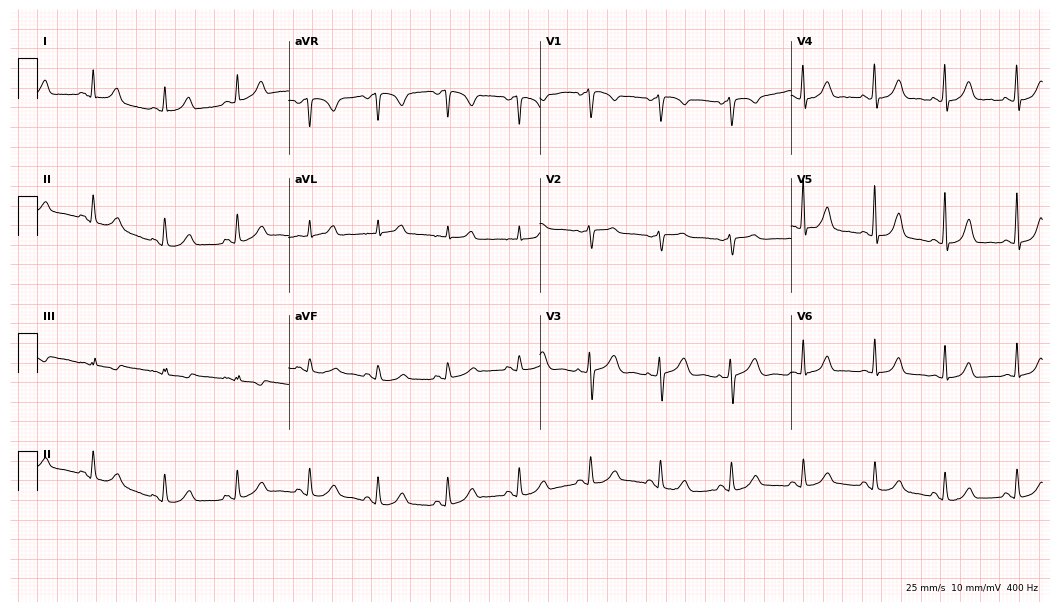
ECG — a female patient, 49 years old. Labelled as a normal ECG.